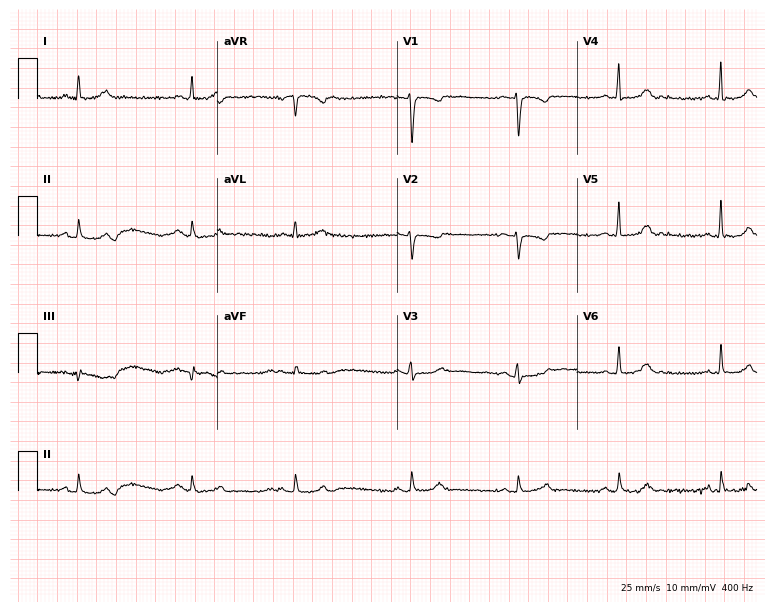
Electrocardiogram (7.3-second recording at 400 Hz), a female, 44 years old. Overall reading on record: normal ECG.